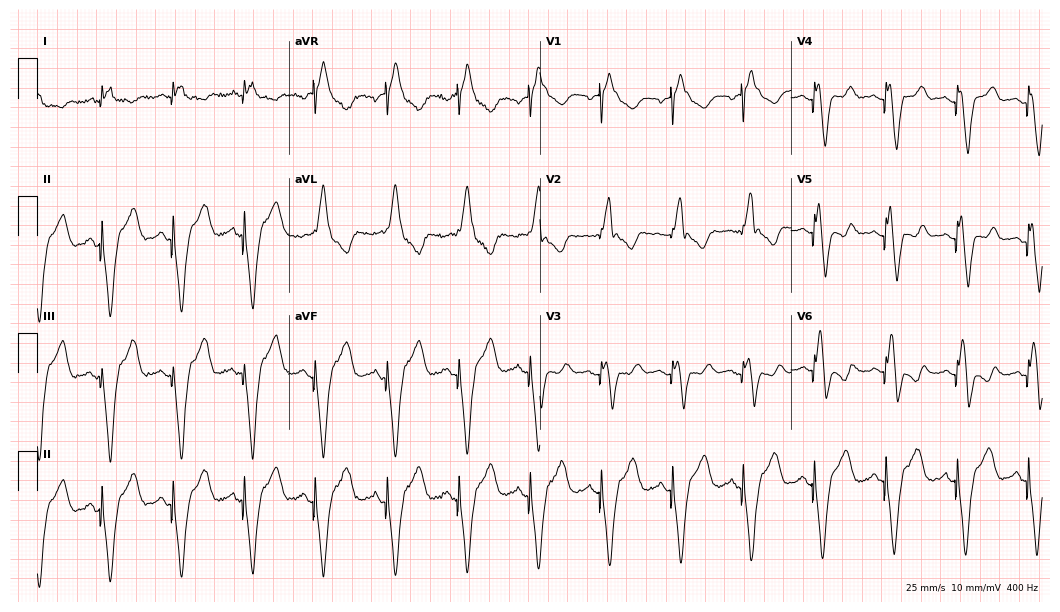
12-lead ECG from a 56-year-old male patient. Screened for six findings — first-degree AV block, right bundle branch block (RBBB), left bundle branch block (LBBB), sinus bradycardia, atrial fibrillation (AF), sinus tachycardia — none is recorded.